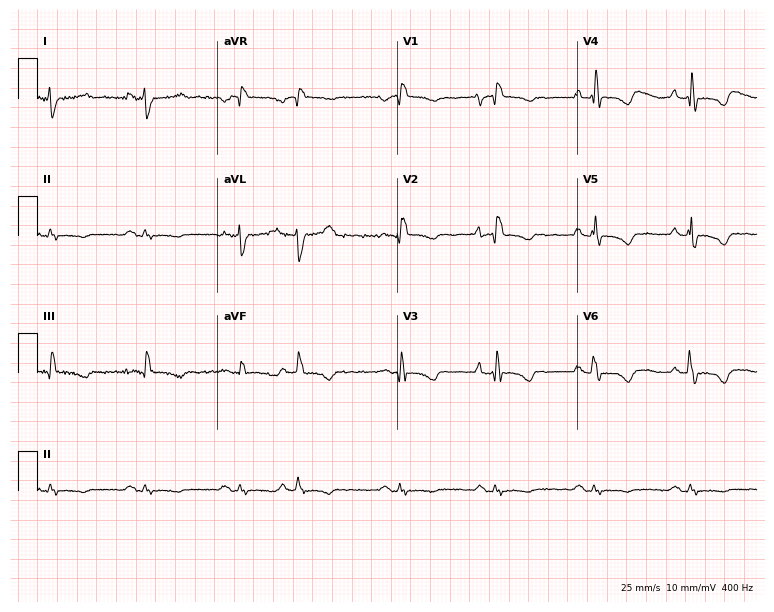
Electrocardiogram, a 37-year-old female patient. Interpretation includes right bundle branch block.